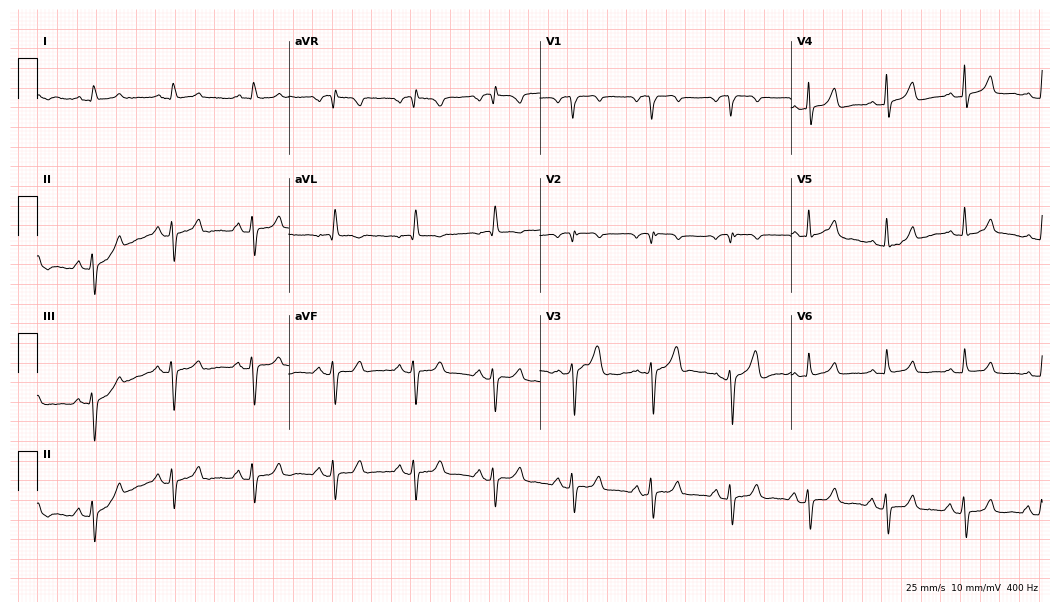
ECG — a 48-year-old male. Screened for six findings — first-degree AV block, right bundle branch block, left bundle branch block, sinus bradycardia, atrial fibrillation, sinus tachycardia — none is recorded.